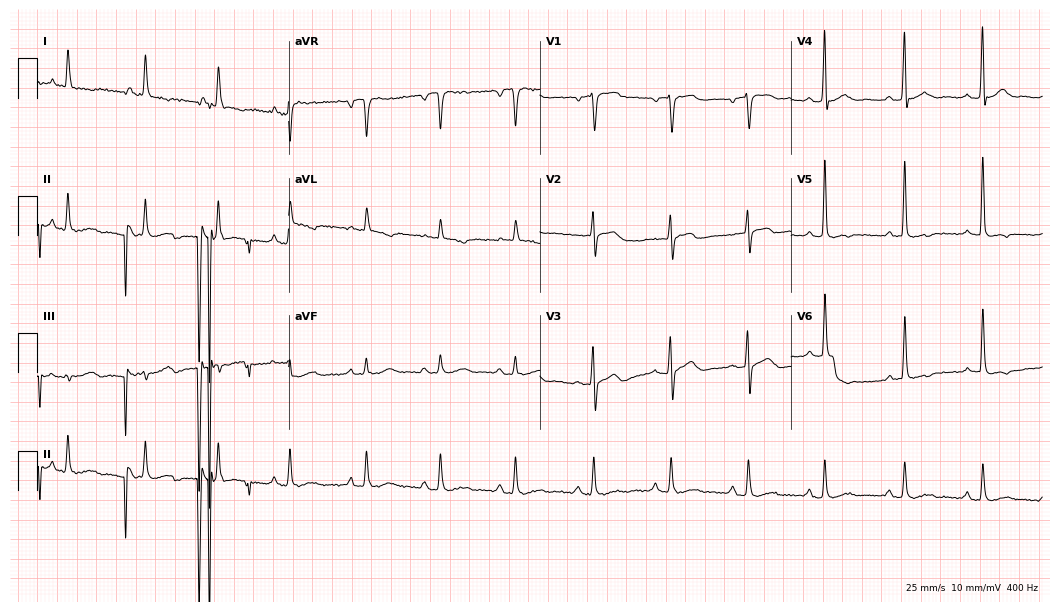
Standard 12-lead ECG recorded from a 78-year-old man (10.2-second recording at 400 Hz). None of these six findings is recorded: first-degree AV block, right bundle branch block, left bundle branch block, sinus bradycardia, atrial fibrillation, sinus tachycardia.